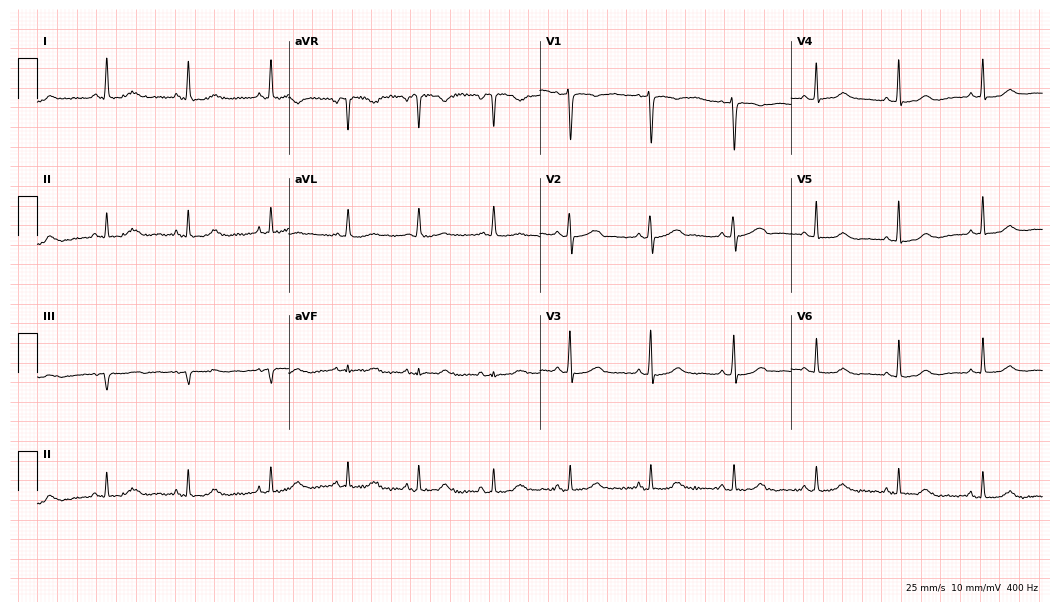
Resting 12-lead electrocardiogram. Patient: a female, 41 years old. None of these six findings is recorded: first-degree AV block, right bundle branch block, left bundle branch block, sinus bradycardia, atrial fibrillation, sinus tachycardia.